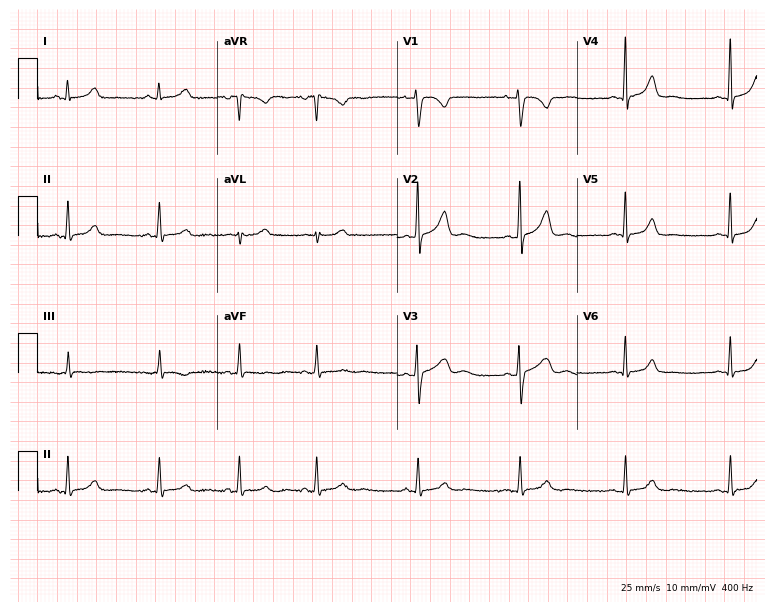
12-lead ECG from a 26-year-old female. Labelled as a normal ECG.